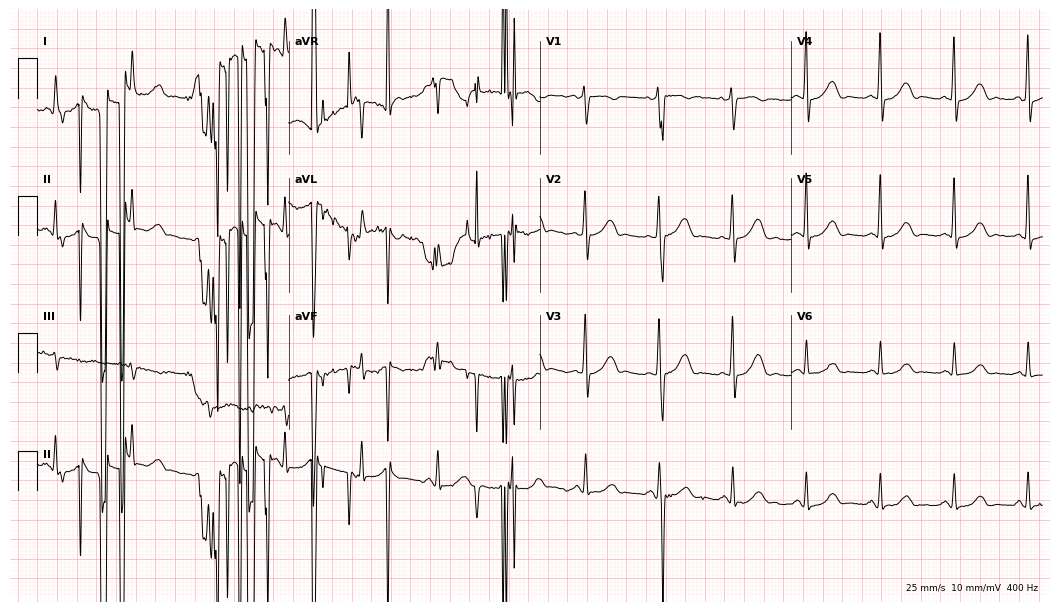
12-lead ECG from a female patient, 53 years old (10.2-second recording at 400 Hz). No first-degree AV block, right bundle branch block (RBBB), left bundle branch block (LBBB), sinus bradycardia, atrial fibrillation (AF) or sinus tachycardia recorded for this tracing. Findings outside these six are not listed.